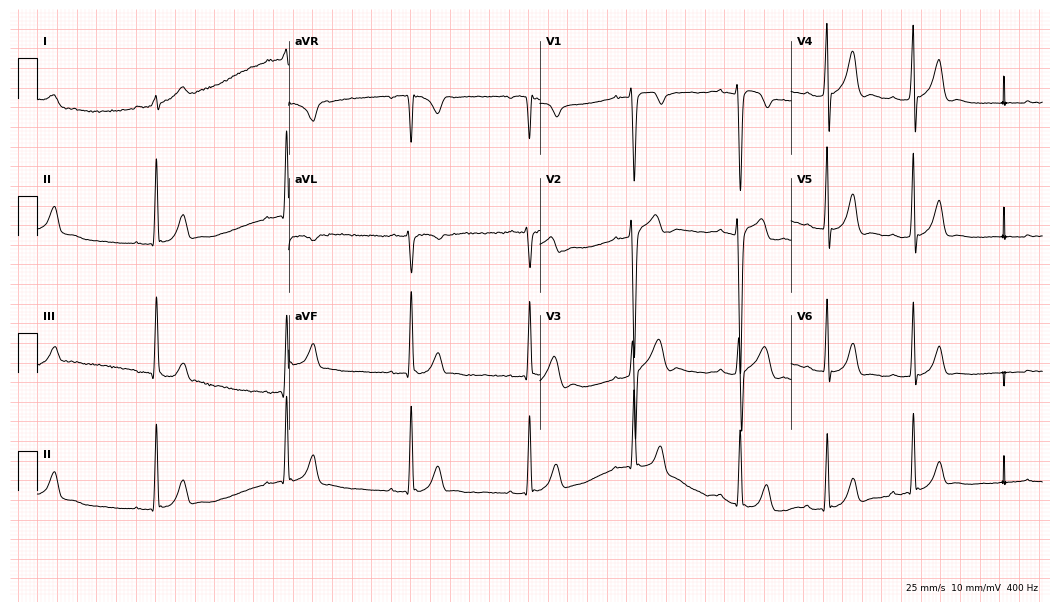
12-lead ECG from a man, 21 years old. No first-degree AV block, right bundle branch block, left bundle branch block, sinus bradycardia, atrial fibrillation or sinus tachycardia recorded for this tracing.